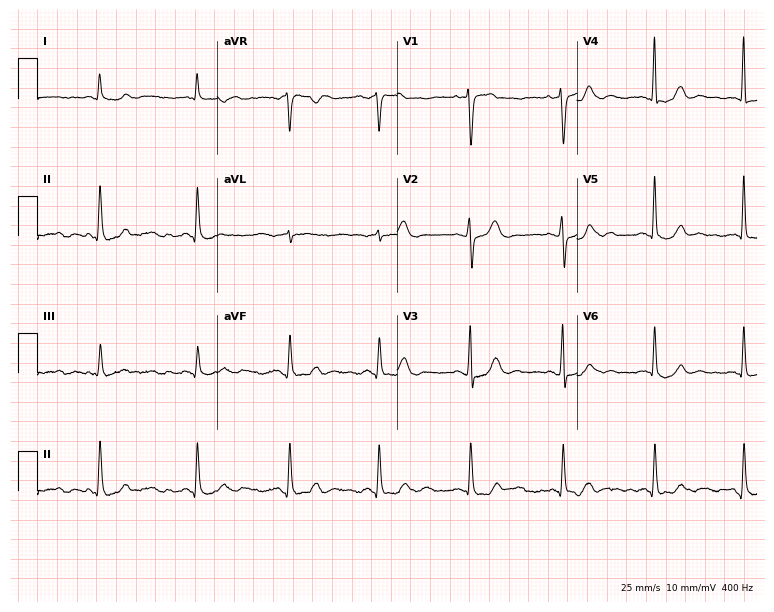
Standard 12-lead ECG recorded from a male, 67 years old (7.3-second recording at 400 Hz). Read as a normal ECG.